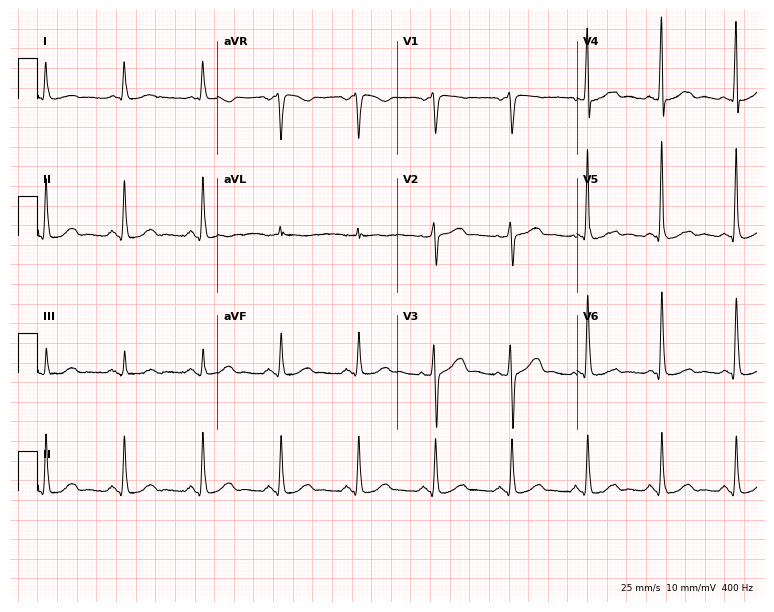
12-lead ECG from a male patient, 56 years old. No first-degree AV block, right bundle branch block (RBBB), left bundle branch block (LBBB), sinus bradycardia, atrial fibrillation (AF) or sinus tachycardia recorded for this tracing.